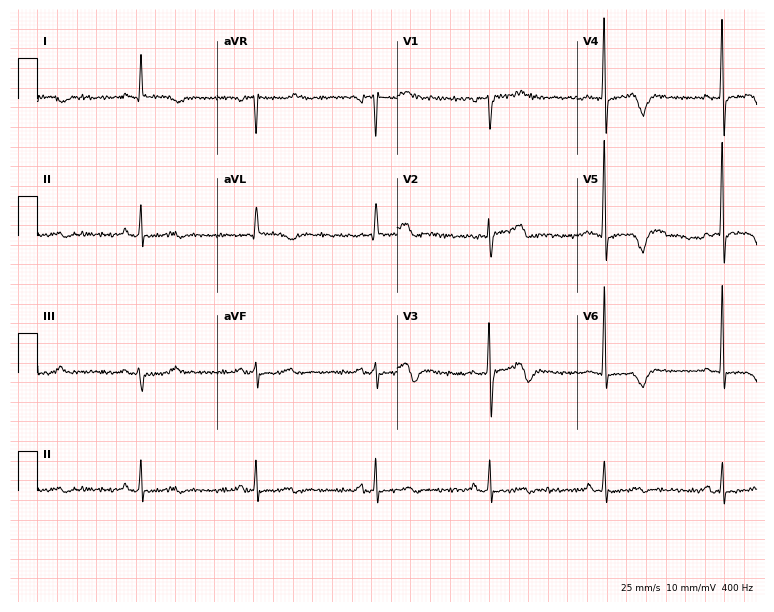
Resting 12-lead electrocardiogram (7.3-second recording at 400 Hz). Patient: a 69-year-old male. None of these six findings is recorded: first-degree AV block, right bundle branch block, left bundle branch block, sinus bradycardia, atrial fibrillation, sinus tachycardia.